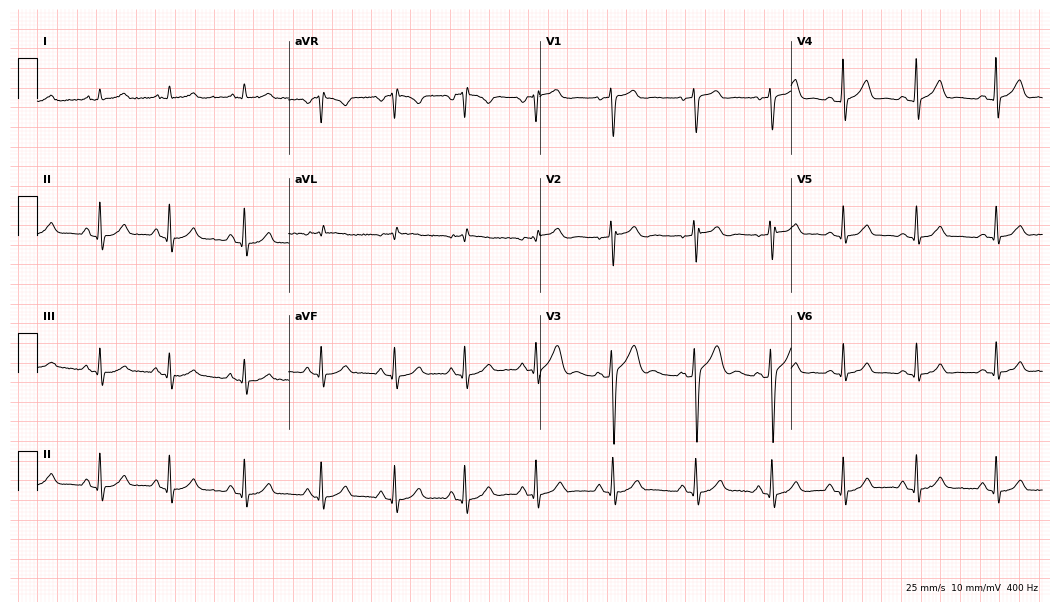
Electrocardiogram, a 36-year-old male. Overall reading on record: normal ECG.